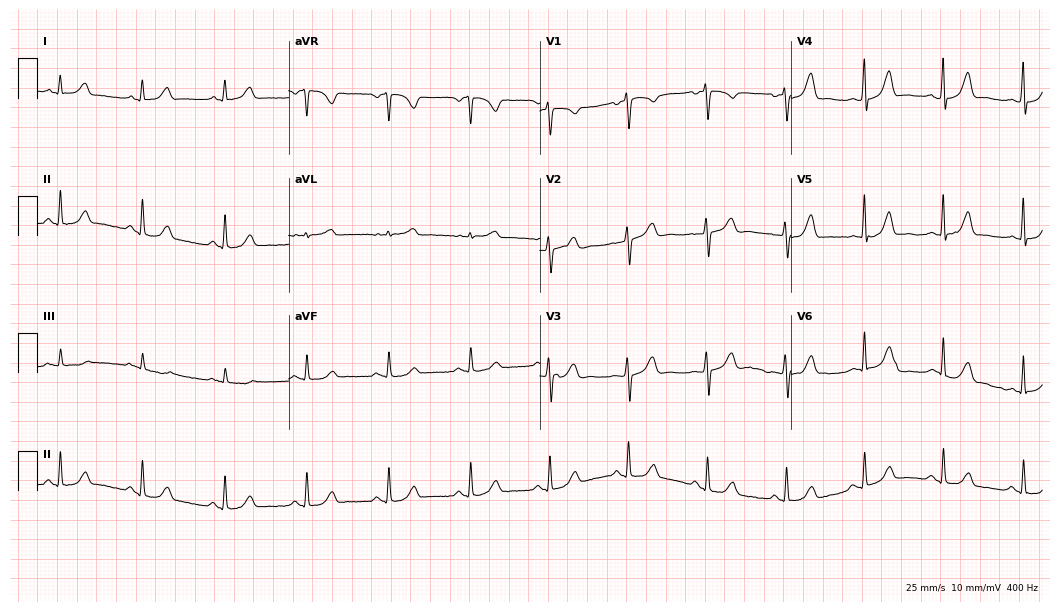
Resting 12-lead electrocardiogram (10.2-second recording at 400 Hz). Patient: a 46-year-old female. Read as a normal ECG.